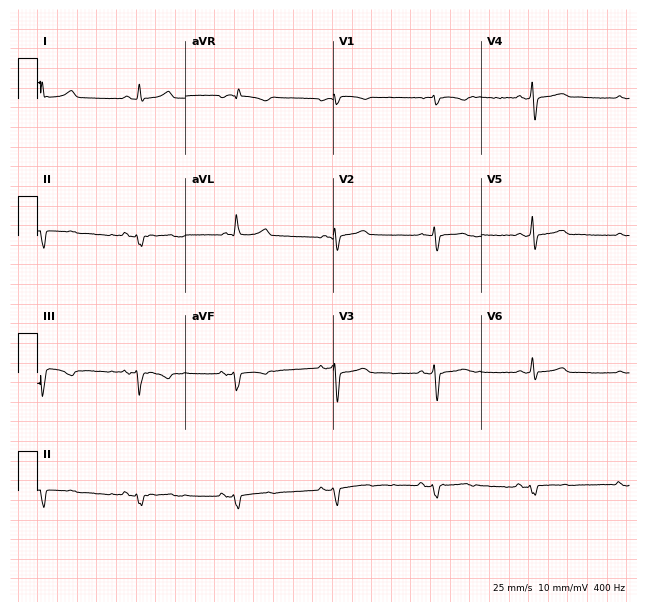
ECG (6-second recording at 400 Hz) — a 73-year-old male patient. Screened for six findings — first-degree AV block, right bundle branch block, left bundle branch block, sinus bradycardia, atrial fibrillation, sinus tachycardia — none is recorded.